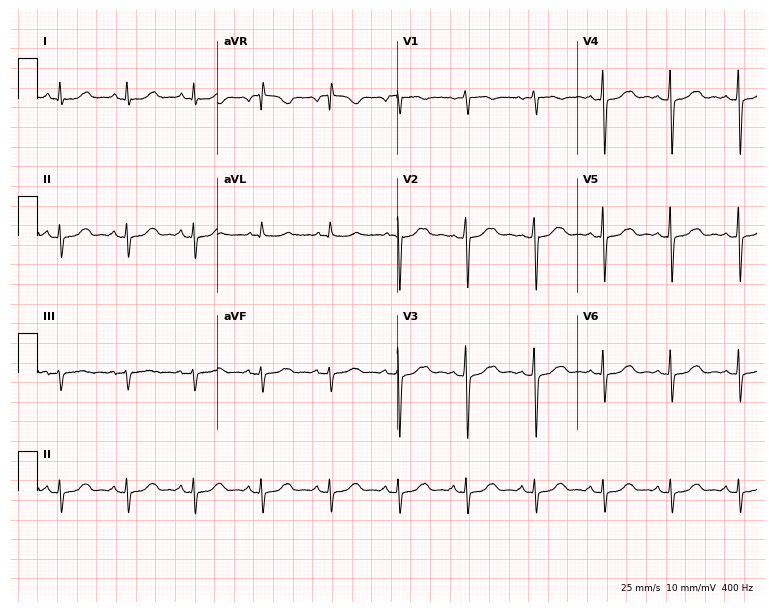
Standard 12-lead ECG recorded from a 48-year-old female patient. None of these six findings is recorded: first-degree AV block, right bundle branch block, left bundle branch block, sinus bradycardia, atrial fibrillation, sinus tachycardia. Findings outside these six are not listed.